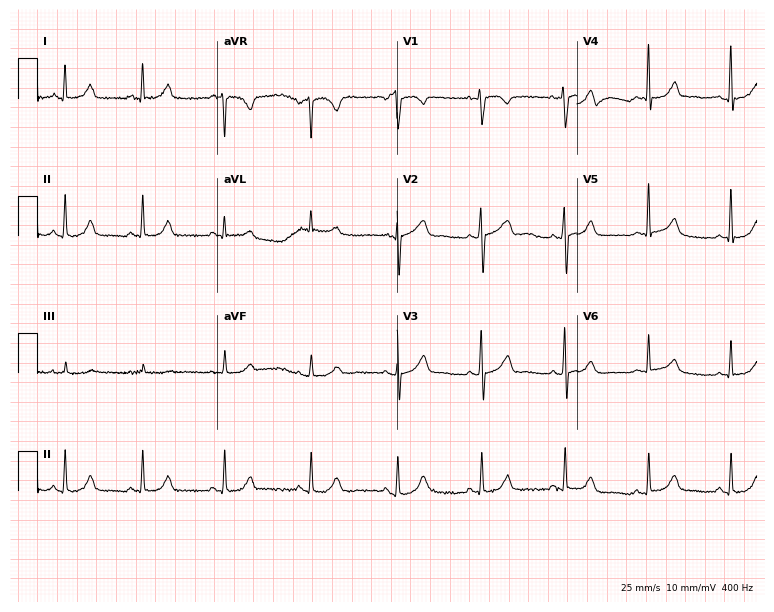
Electrocardiogram (7.3-second recording at 400 Hz), a female, 47 years old. Of the six screened findings (first-degree AV block, right bundle branch block, left bundle branch block, sinus bradycardia, atrial fibrillation, sinus tachycardia), none is recorded. Only these six findings were labelled.